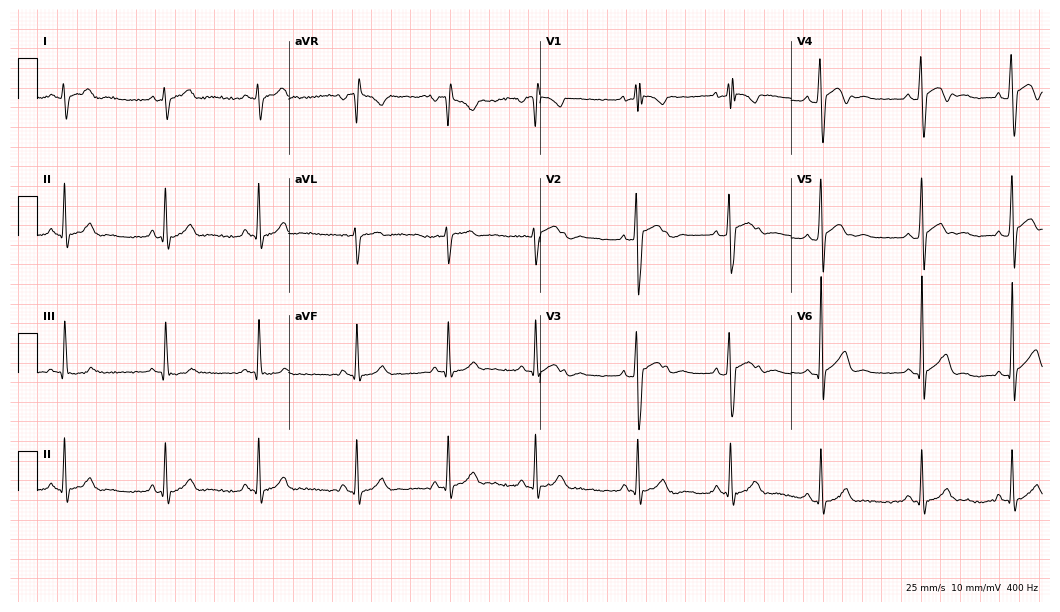
Resting 12-lead electrocardiogram. Patient: a man, 17 years old. Read as a normal ECG.